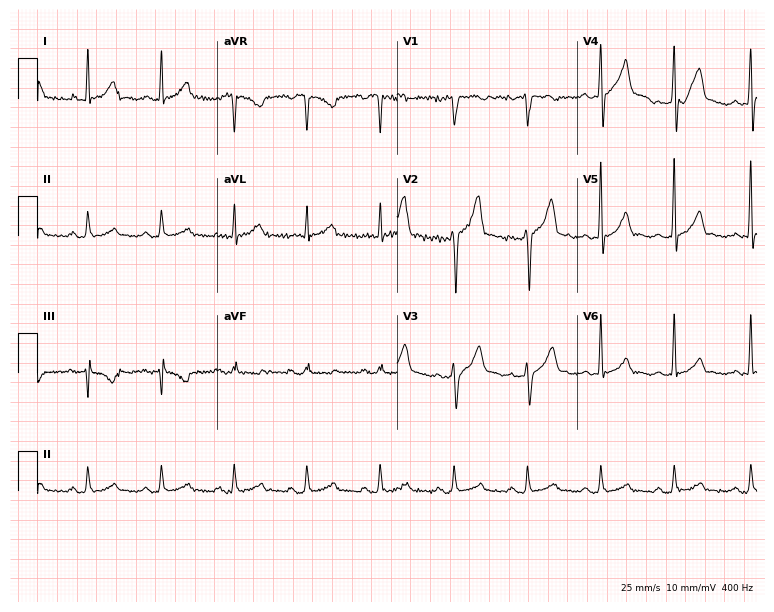
Resting 12-lead electrocardiogram. Patient: a 41-year-old male. Read as a normal ECG.